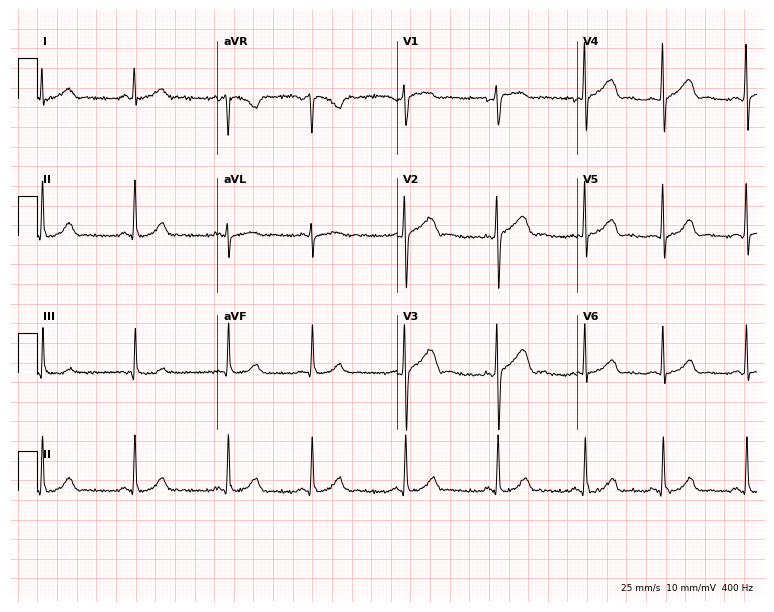
Standard 12-lead ECG recorded from a 29-year-old woman (7.3-second recording at 400 Hz). Read as a normal ECG.